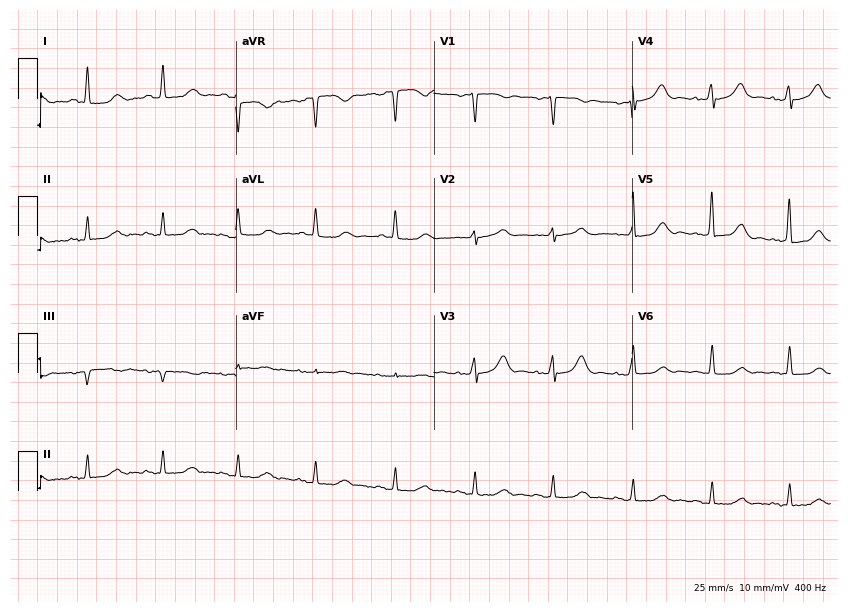
12-lead ECG from a 43-year-old man. Screened for six findings — first-degree AV block, right bundle branch block, left bundle branch block, sinus bradycardia, atrial fibrillation, sinus tachycardia — none is recorded.